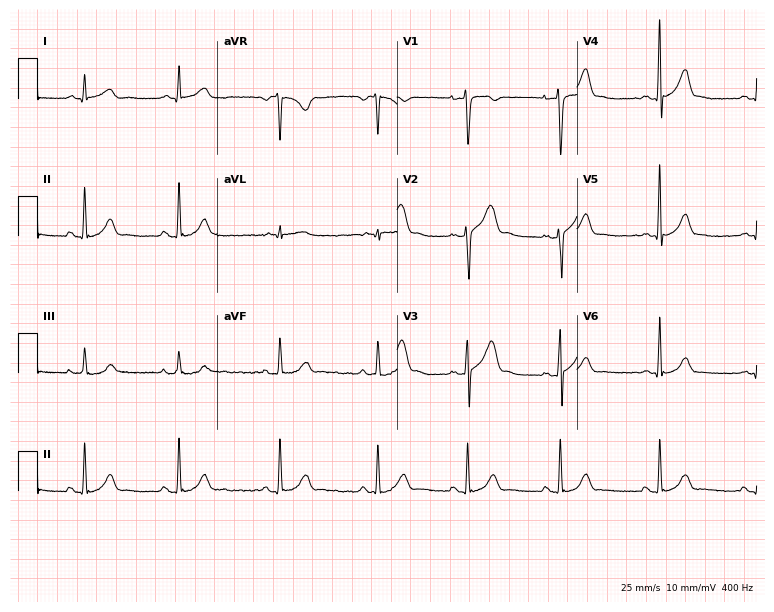
Standard 12-lead ECG recorded from a male patient, 25 years old. Read as a normal ECG.